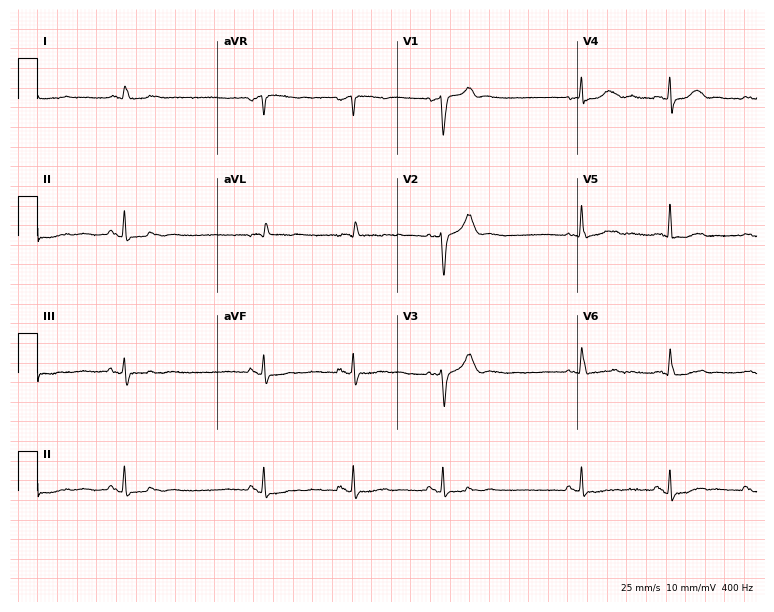
Standard 12-lead ECG recorded from a male patient, 76 years old (7.3-second recording at 400 Hz). Read as a normal ECG.